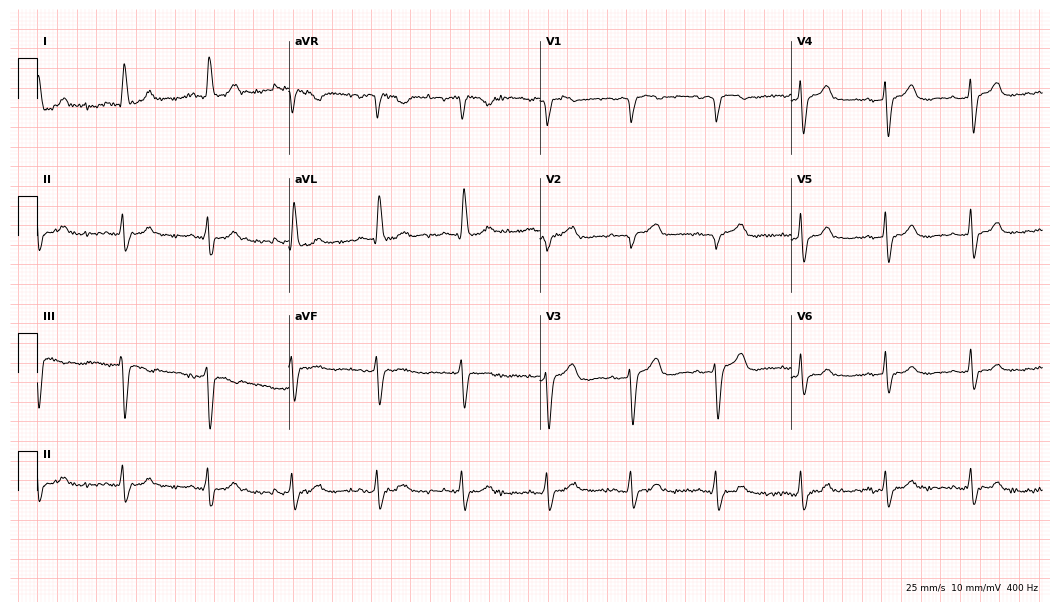
Standard 12-lead ECG recorded from a woman, 68 years old. The tracing shows left bundle branch block (LBBB).